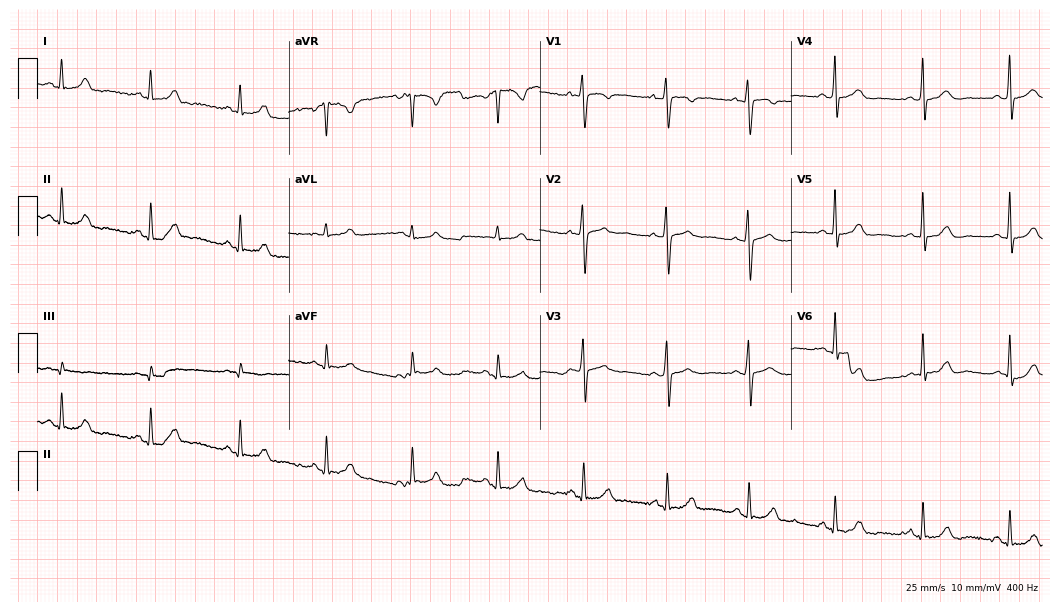
12-lead ECG (10.2-second recording at 400 Hz) from a 28-year-old woman. Labelled as a normal ECG.